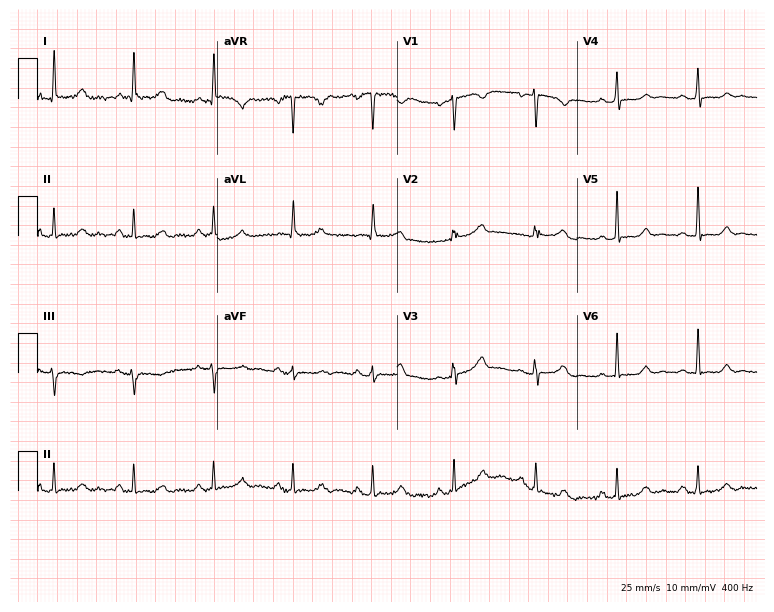
Electrocardiogram (7.3-second recording at 400 Hz), a 52-year-old woman. Overall reading on record: normal ECG.